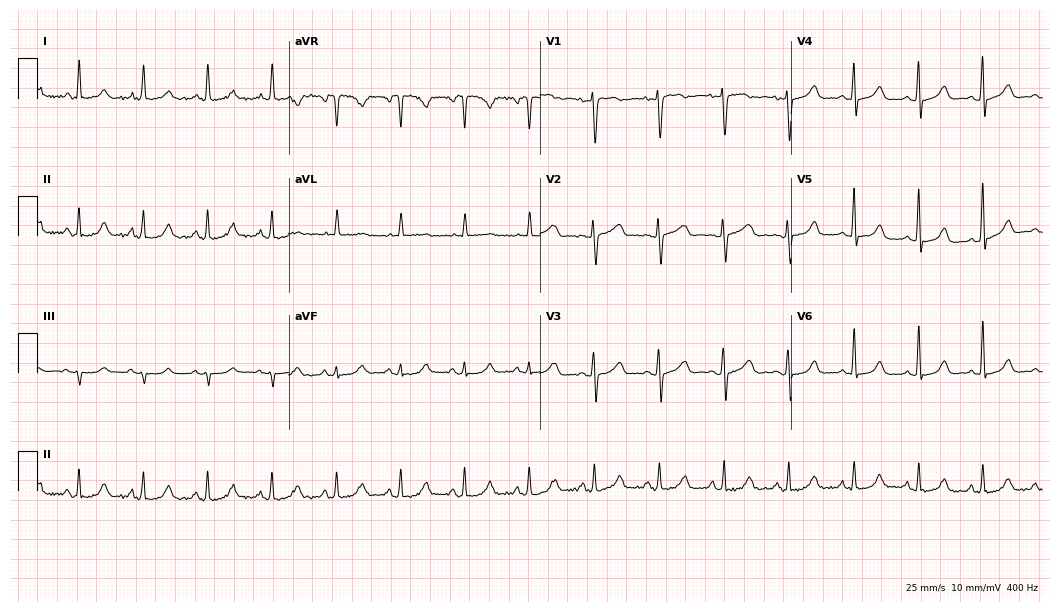
Electrocardiogram (10.2-second recording at 400 Hz), a female, 75 years old. Overall reading on record: normal ECG.